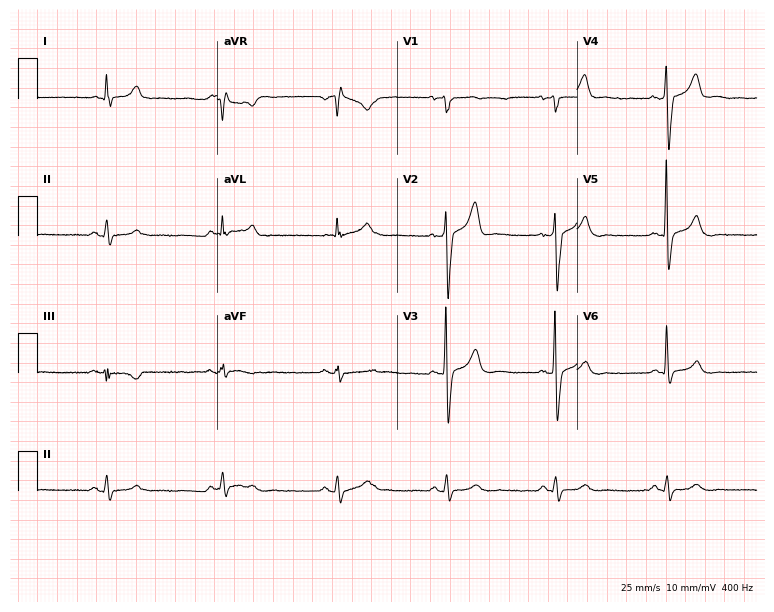
Standard 12-lead ECG recorded from a 63-year-old male patient (7.3-second recording at 400 Hz). The tracing shows sinus bradycardia (a sinus rate of 50 beats per minute or less).